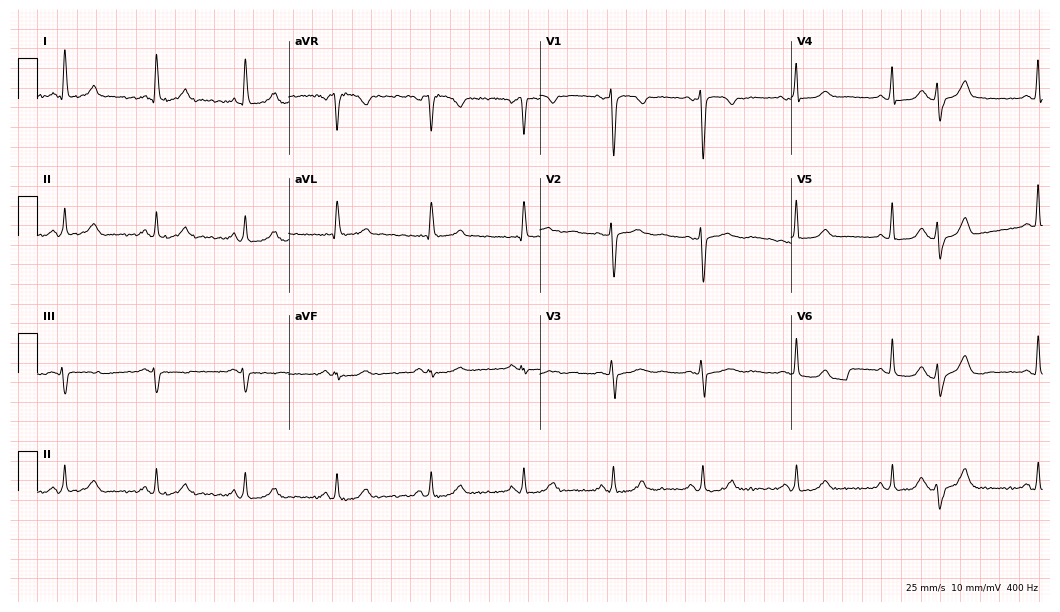
ECG (10.2-second recording at 400 Hz) — a female patient, 55 years old. Screened for six findings — first-degree AV block, right bundle branch block (RBBB), left bundle branch block (LBBB), sinus bradycardia, atrial fibrillation (AF), sinus tachycardia — none is recorded.